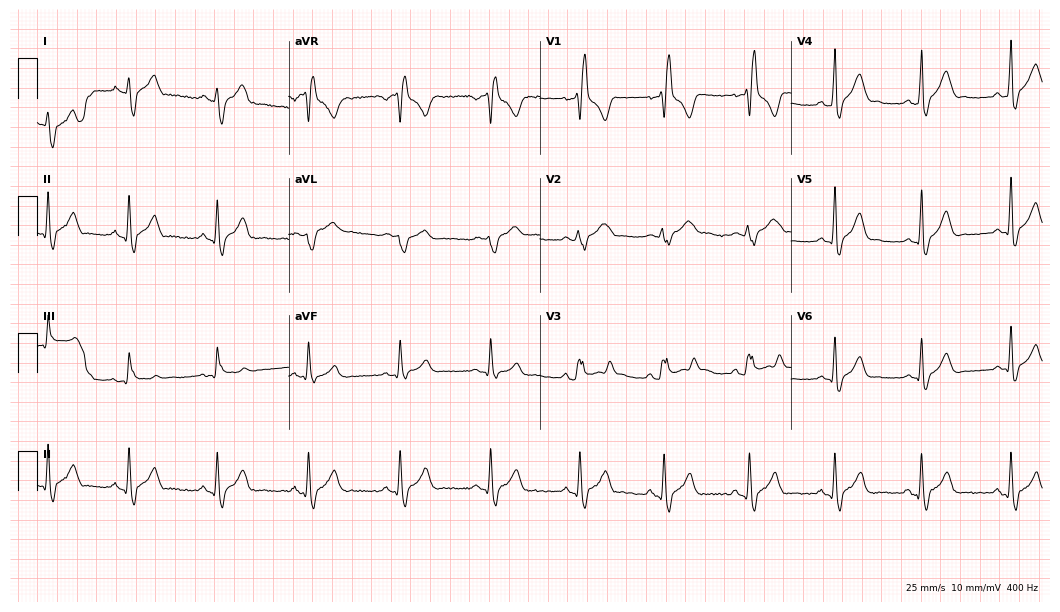
Resting 12-lead electrocardiogram. Patient: a male, 28 years old. None of these six findings is recorded: first-degree AV block, right bundle branch block (RBBB), left bundle branch block (LBBB), sinus bradycardia, atrial fibrillation (AF), sinus tachycardia.